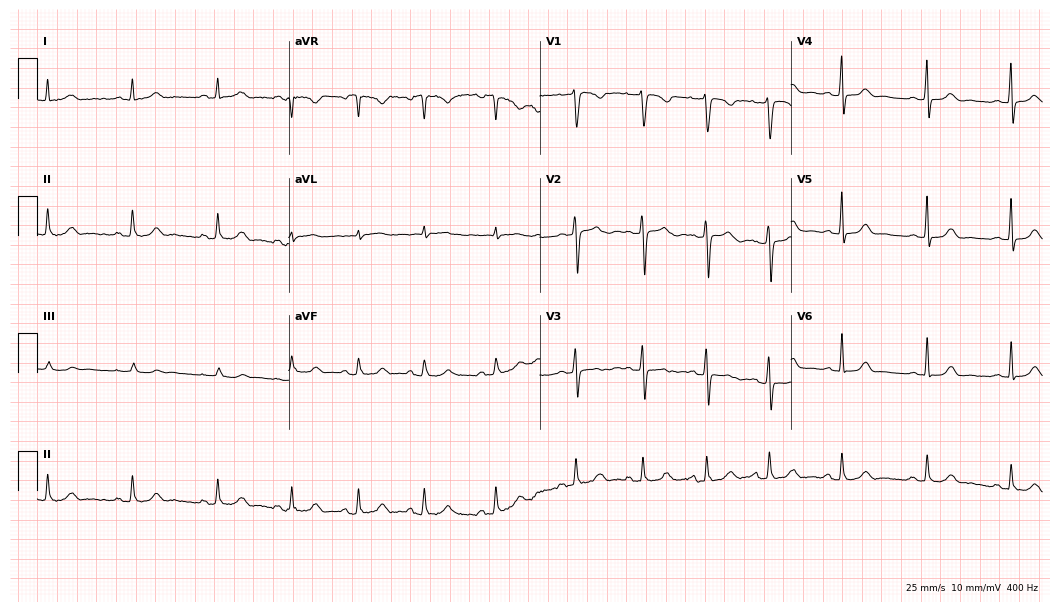
ECG — a 25-year-old female. Labelled as a normal ECG.